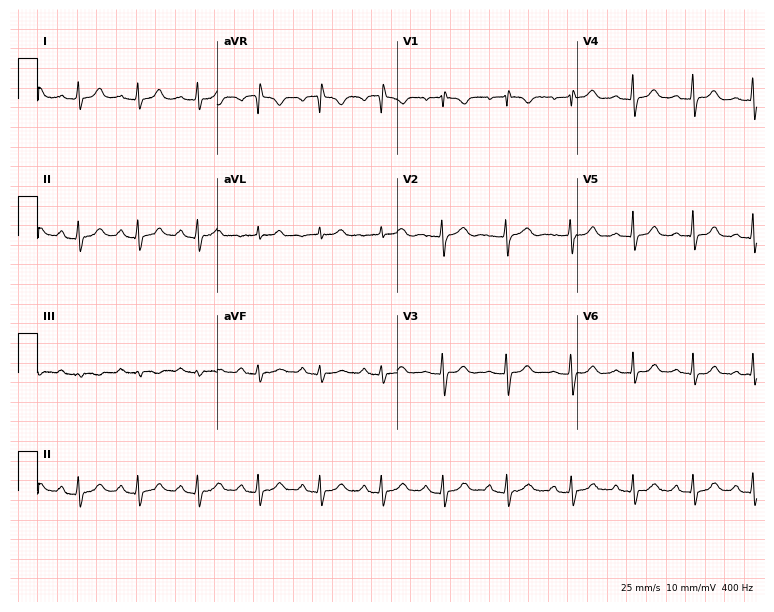
ECG — a woman, 22 years old. Labelled as a normal ECG.